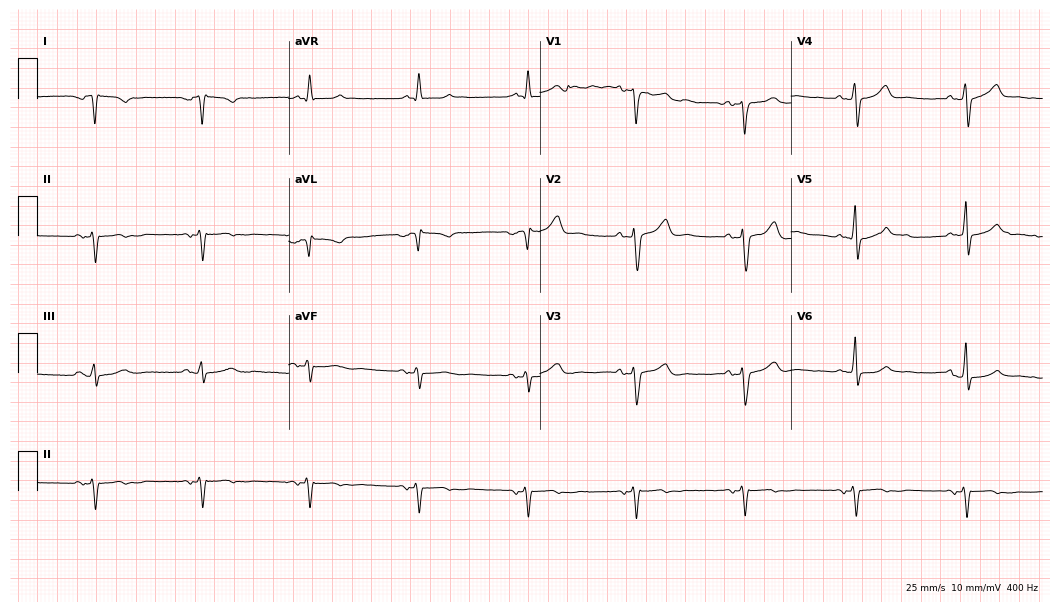
12-lead ECG from an 81-year-old male. Screened for six findings — first-degree AV block, right bundle branch block, left bundle branch block, sinus bradycardia, atrial fibrillation, sinus tachycardia — none is recorded. Findings outside these six are not listed.